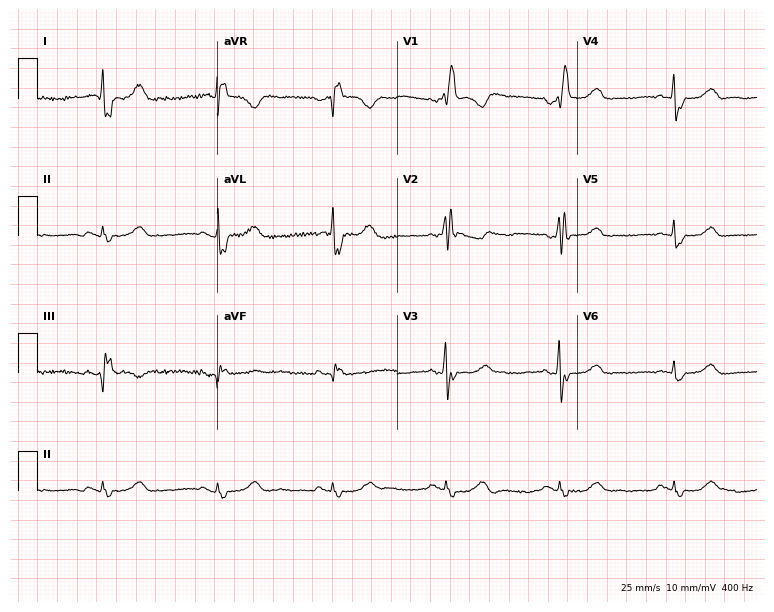
Resting 12-lead electrocardiogram. Patient: a female, 64 years old. None of these six findings is recorded: first-degree AV block, right bundle branch block, left bundle branch block, sinus bradycardia, atrial fibrillation, sinus tachycardia.